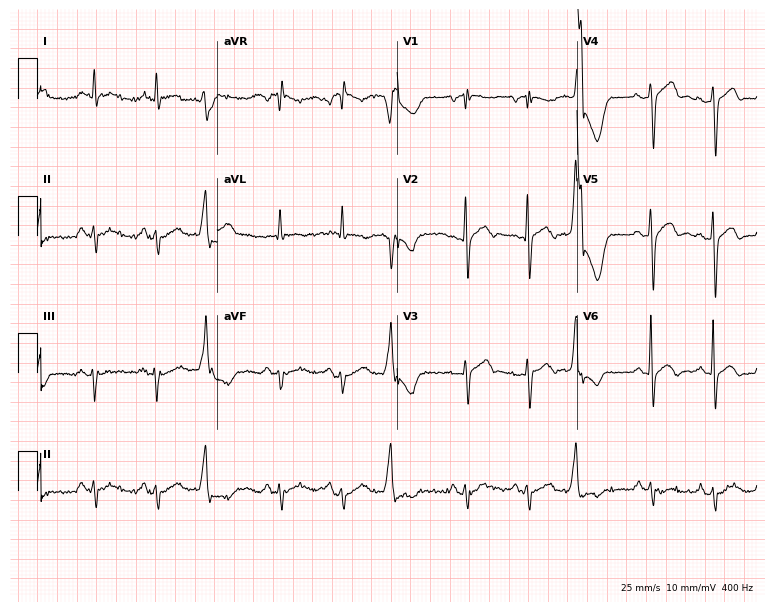
ECG (7.3-second recording at 400 Hz) — a man, 69 years old. Screened for six findings — first-degree AV block, right bundle branch block (RBBB), left bundle branch block (LBBB), sinus bradycardia, atrial fibrillation (AF), sinus tachycardia — none is recorded.